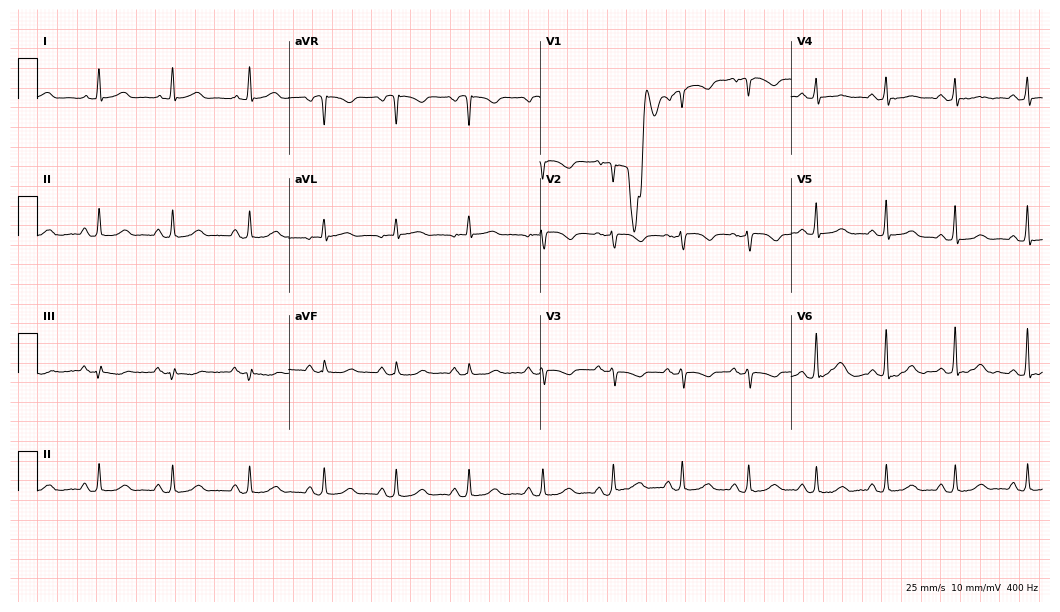
12-lead ECG from a female patient, 82 years old (10.2-second recording at 400 Hz). No first-degree AV block, right bundle branch block (RBBB), left bundle branch block (LBBB), sinus bradycardia, atrial fibrillation (AF) or sinus tachycardia recorded for this tracing.